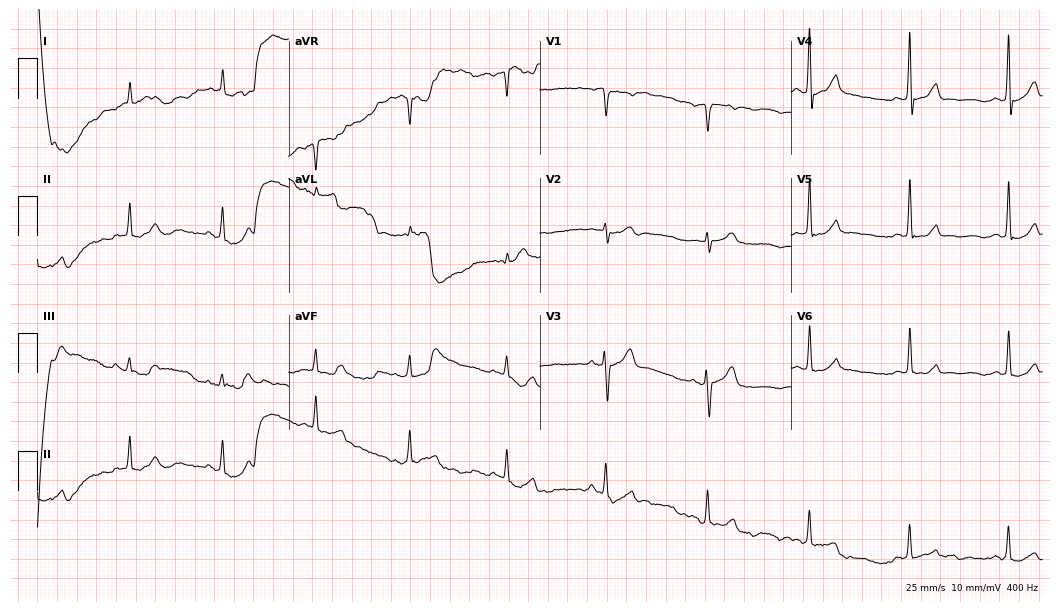
Electrocardiogram, a male, 75 years old. Of the six screened findings (first-degree AV block, right bundle branch block, left bundle branch block, sinus bradycardia, atrial fibrillation, sinus tachycardia), none is recorded. Only these six findings were labelled.